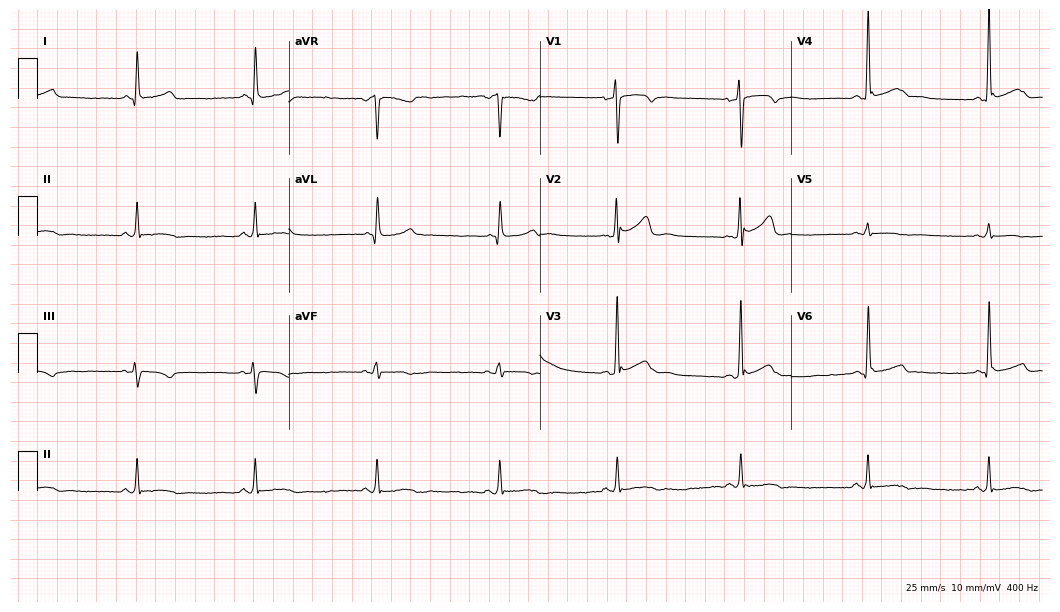
Standard 12-lead ECG recorded from a 47-year-old male patient. None of these six findings is recorded: first-degree AV block, right bundle branch block (RBBB), left bundle branch block (LBBB), sinus bradycardia, atrial fibrillation (AF), sinus tachycardia.